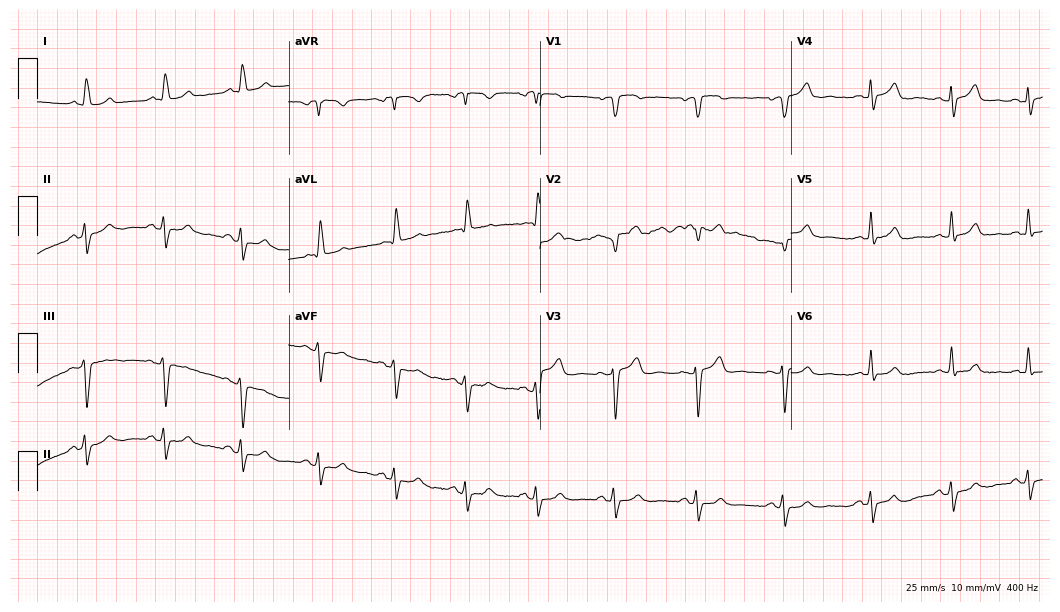
ECG (10.2-second recording at 400 Hz) — a male, 81 years old. Screened for six findings — first-degree AV block, right bundle branch block, left bundle branch block, sinus bradycardia, atrial fibrillation, sinus tachycardia — none is recorded. Only these six findings were labelled.